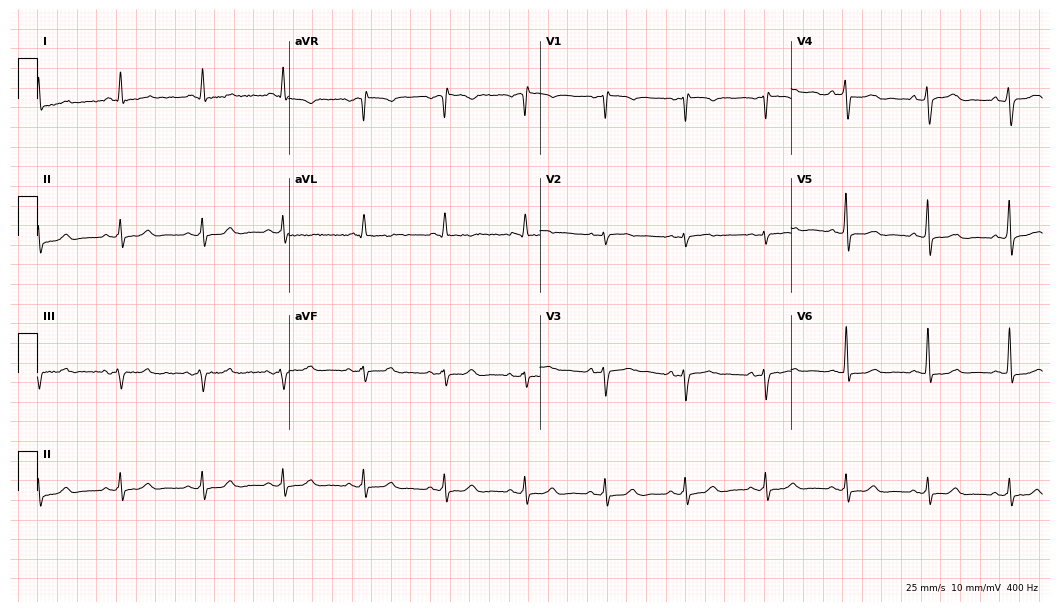
Standard 12-lead ECG recorded from an 81-year-old male (10.2-second recording at 400 Hz). Read as a normal ECG.